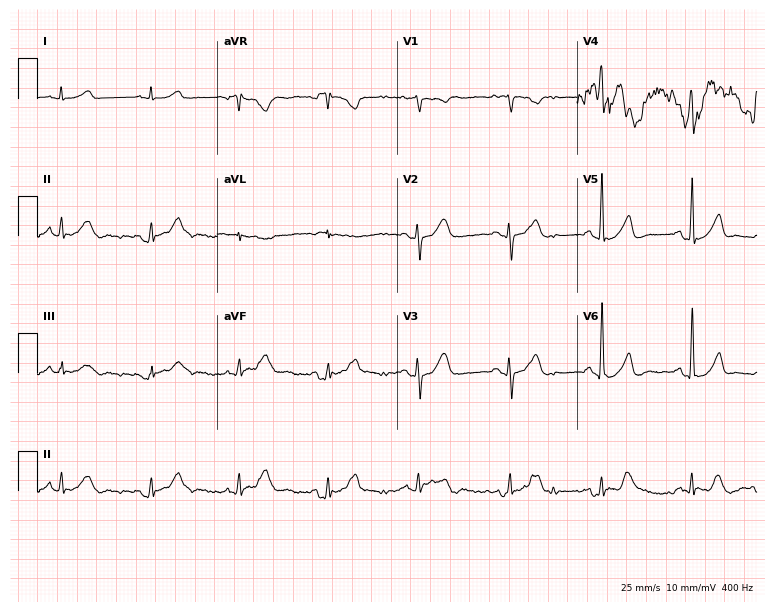
12-lead ECG from a female, 53 years old (7.3-second recording at 400 Hz). Recorded interpretation: within normal limits.